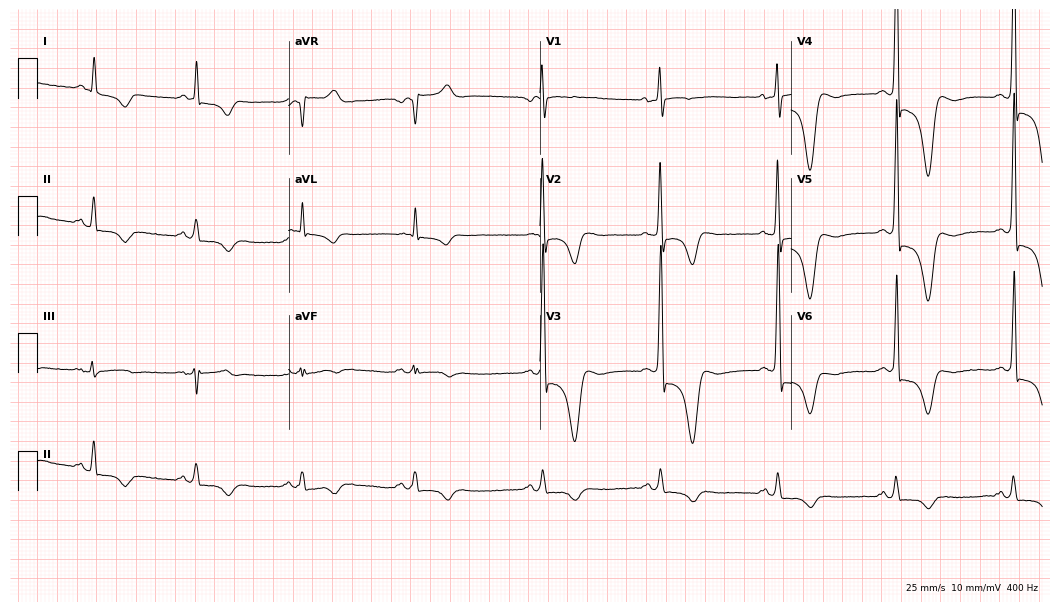
Resting 12-lead electrocardiogram (10.2-second recording at 400 Hz). Patient: a male, 60 years old. None of these six findings is recorded: first-degree AV block, right bundle branch block, left bundle branch block, sinus bradycardia, atrial fibrillation, sinus tachycardia. Other findings, if any, are not listed.